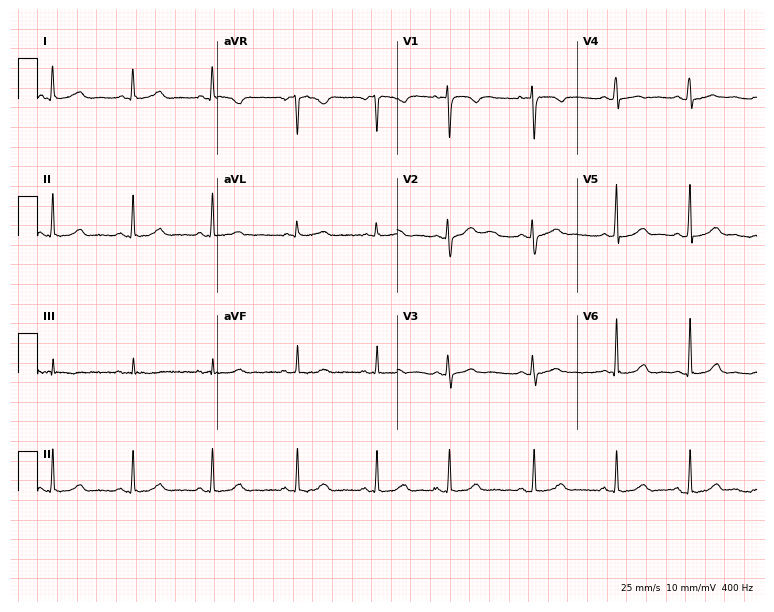
Electrocardiogram, a 20-year-old woman. Overall reading on record: normal ECG.